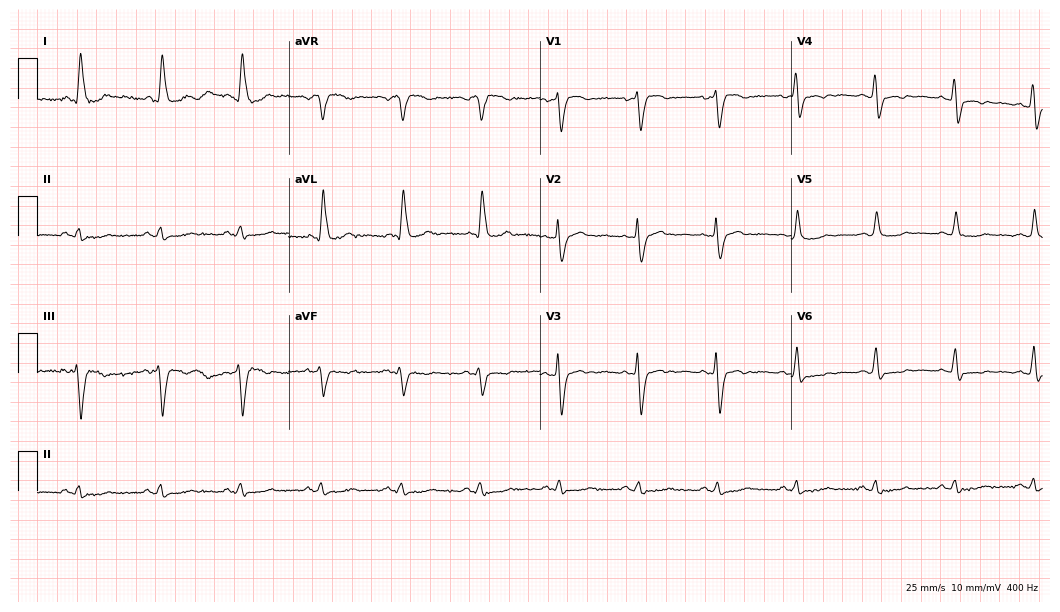
Standard 12-lead ECG recorded from a female, 73 years old (10.2-second recording at 400 Hz). None of these six findings is recorded: first-degree AV block, right bundle branch block, left bundle branch block, sinus bradycardia, atrial fibrillation, sinus tachycardia. Other findings, if any, are not listed.